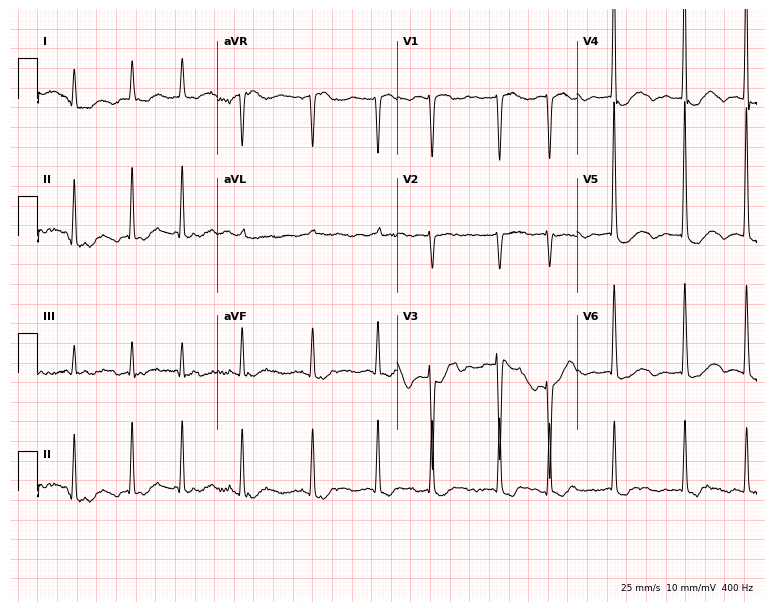
12-lead ECG from an 84-year-old female patient. Shows atrial fibrillation.